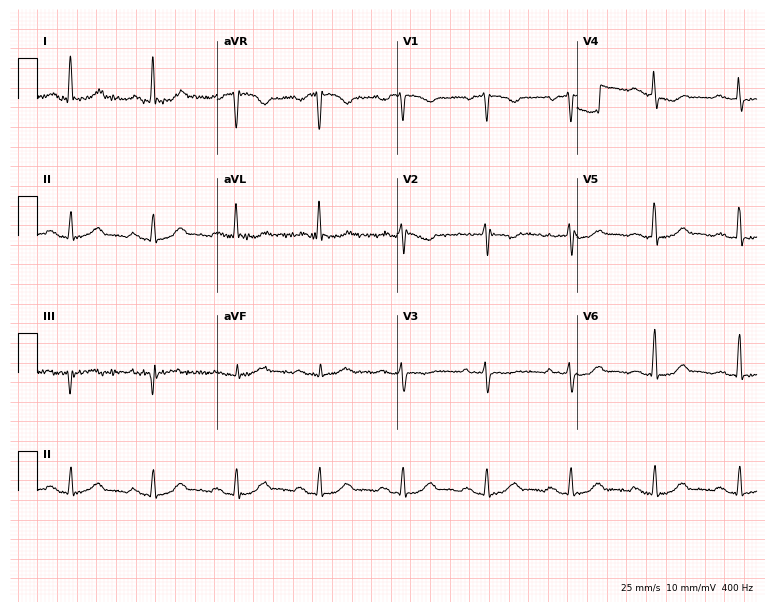
Electrocardiogram, a female, 52 years old. Of the six screened findings (first-degree AV block, right bundle branch block, left bundle branch block, sinus bradycardia, atrial fibrillation, sinus tachycardia), none is recorded. Other findings, if any, are not listed.